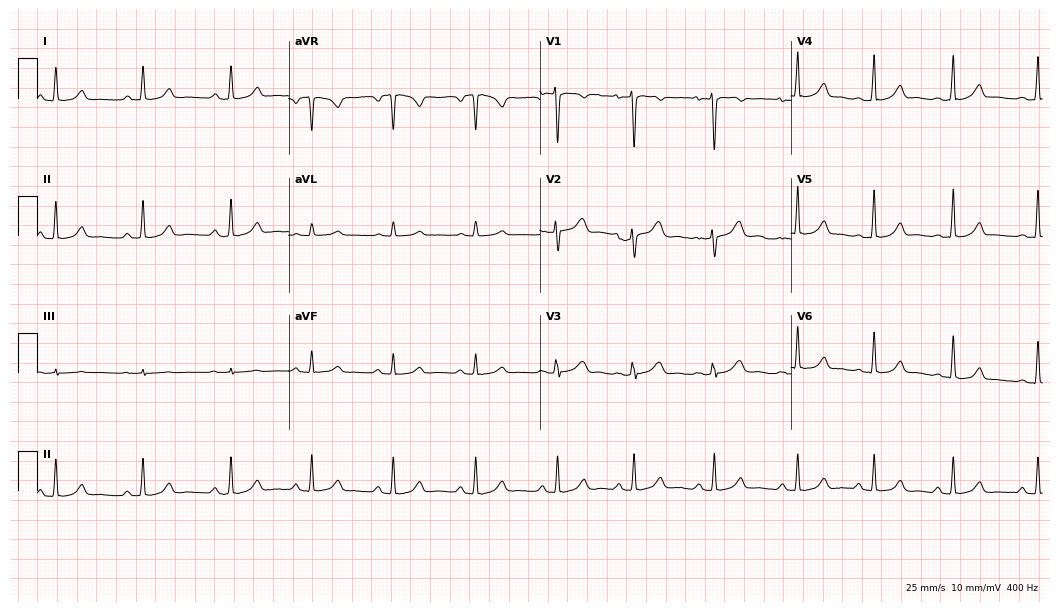
ECG — a female, 32 years old. Labelled as a normal ECG.